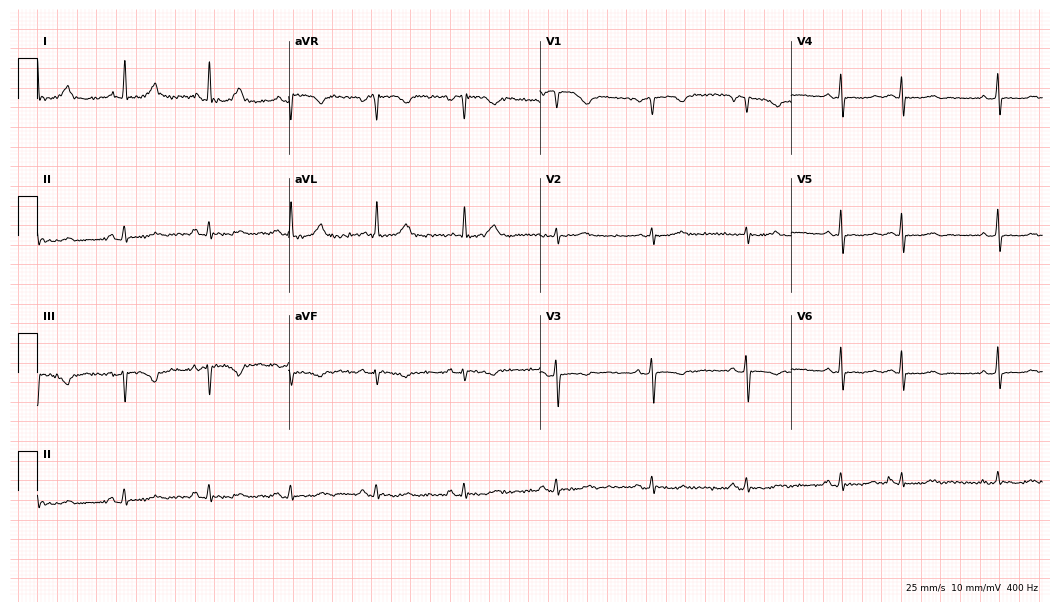
12-lead ECG (10.2-second recording at 400 Hz) from a female, 79 years old. Screened for six findings — first-degree AV block, right bundle branch block (RBBB), left bundle branch block (LBBB), sinus bradycardia, atrial fibrillation (AF), sinus tachycardia — none is recorded.